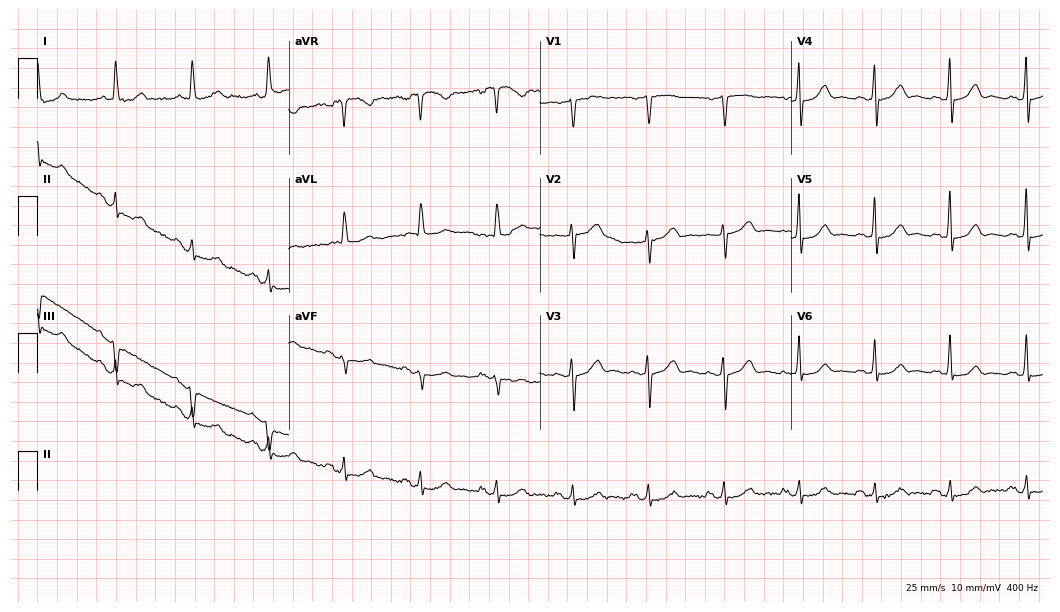
12-lead ECG (10.2-second recording at 400 Hz) from a 78-year-old female. Labelled as a normal ECG.